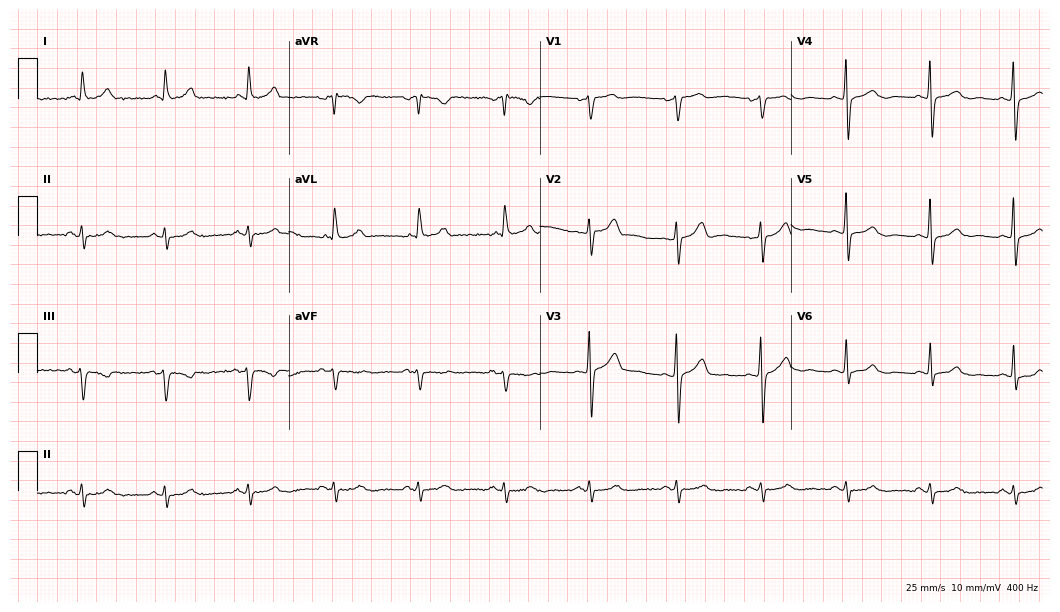
Standard 12-lead ECG recorded from a female, 60 years old (10.2-second recording at 400 Hz). None of these six findings is recorded: first-degree AV block, right bundle branch block, left bundle branch block, sinus bradycardia, atrial fibrillation, sinus tachycardia.